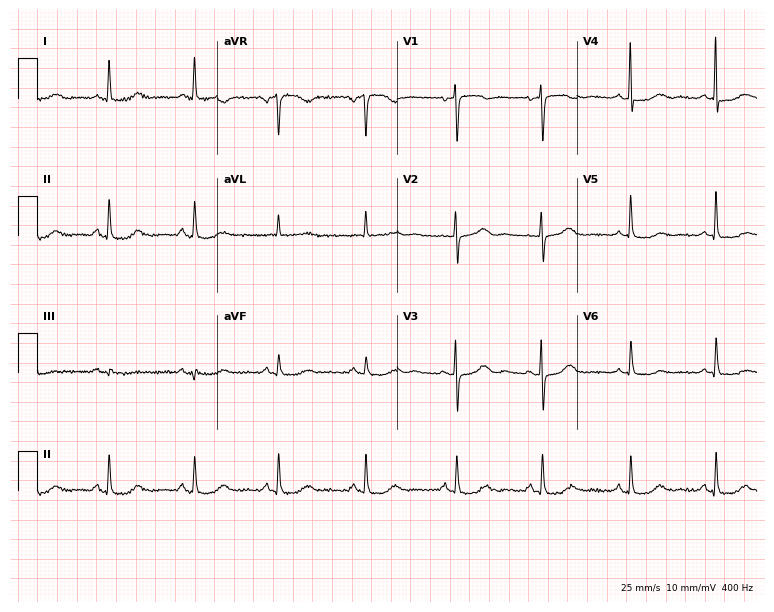
Resting 12-lead electrocardiogram (7.3-second recording at 400 Hz). Patient: a 57-year-old woman. Read as a normal ECG.